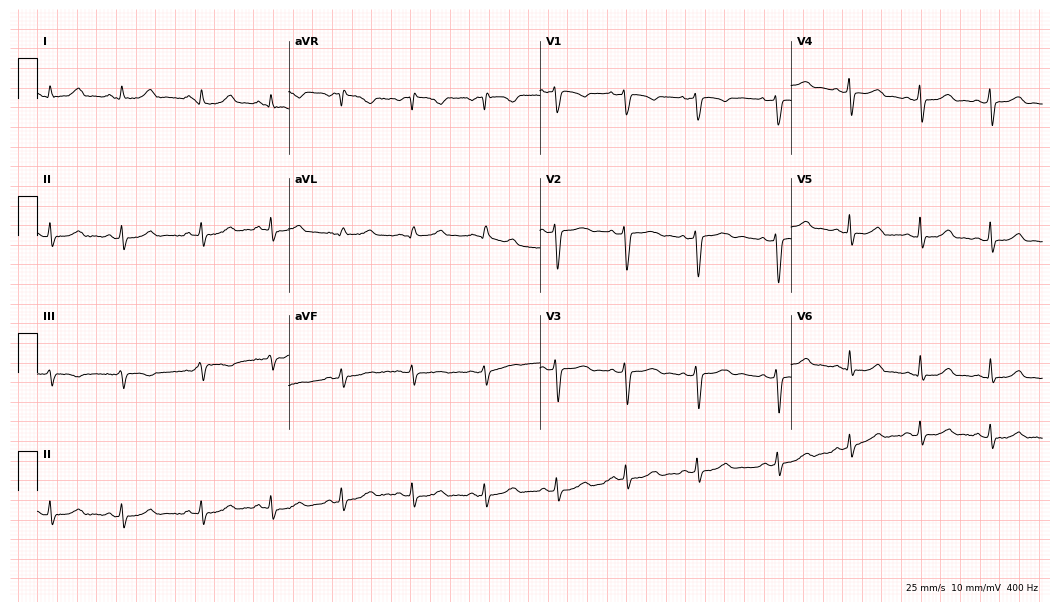
ECG (10.2-second recording at 400 Hz) — a 28-year-old female. Labelled as a normal ECG.